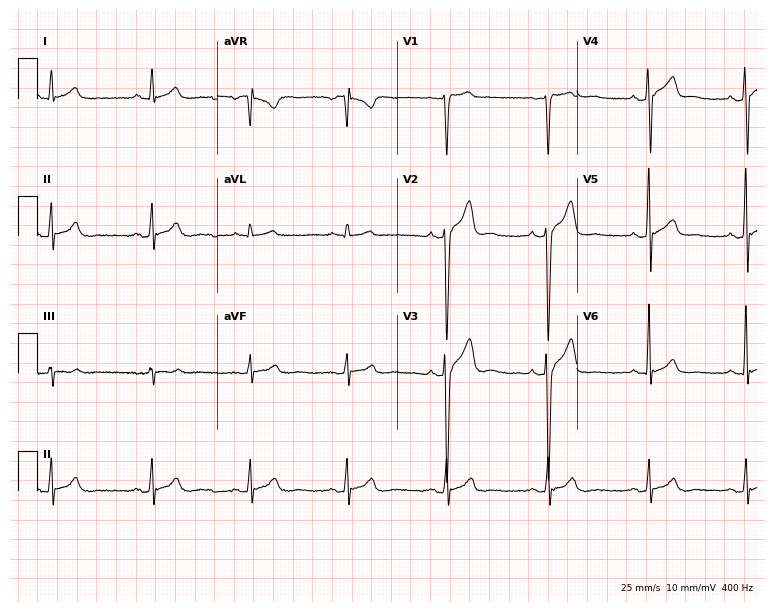
12-lead ECG from a 37-year-old male patient. Recorded interpretation: within normal limits.